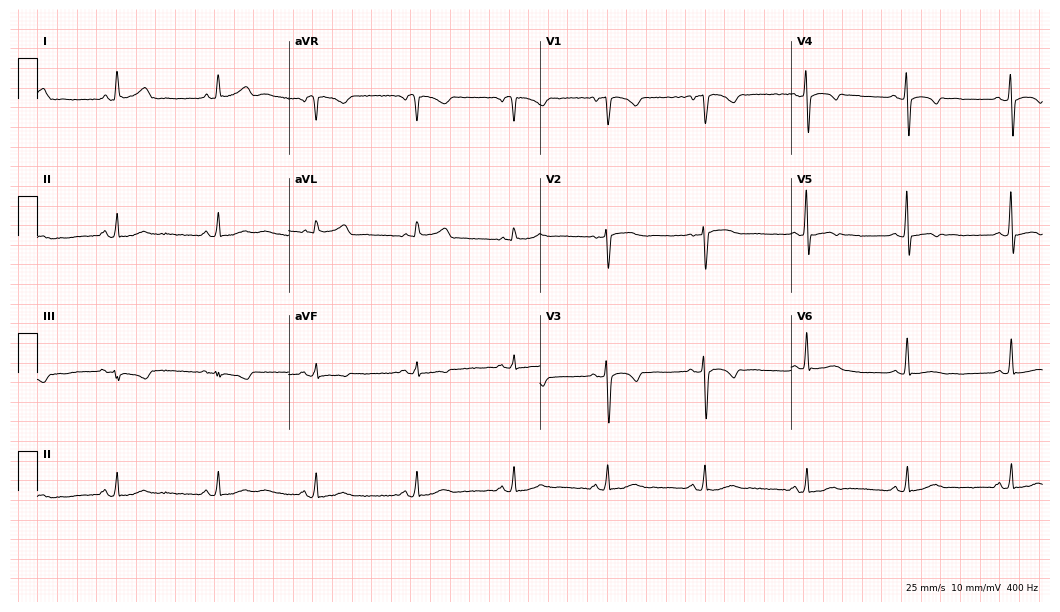
12-lead ECG from a female patient, 56 years old. Screened for six findings — first-degree AV block, right bundle branch block, left bundle branch block, sinus bradycardia, atrial fibrillation, sinus tachycardia — none is recorded. Other findings, if any, are not listed.